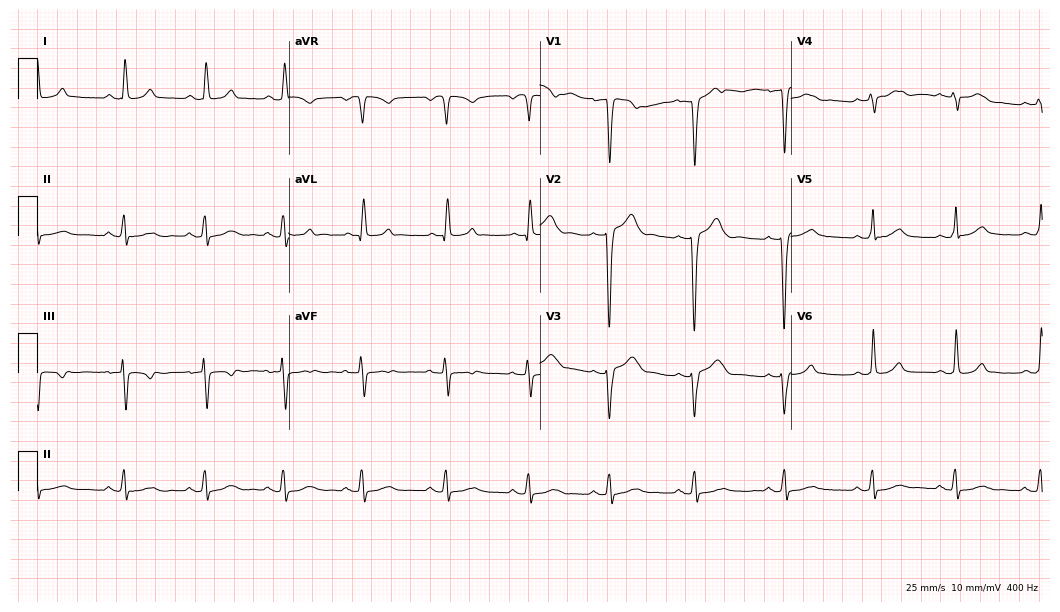
12-lead ECG from a 28-year-old woman. No first-degree AV block, right bundle branch block, left bundle branch block, sinus bradycardia, atrial fibrillation or sinus tachycardia recorded for this tracing. Only these six findings were labelled.